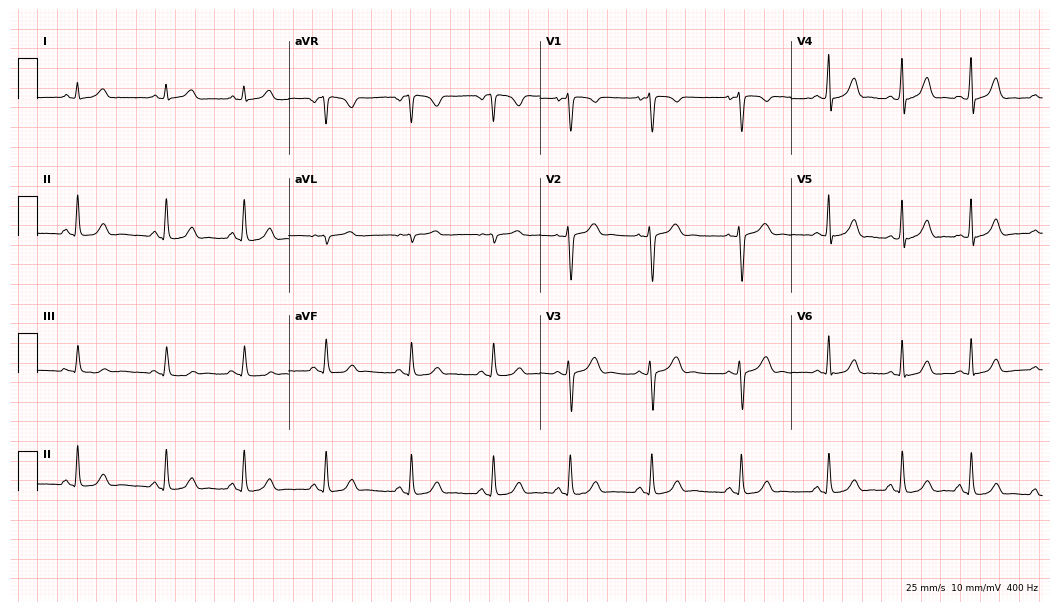
Electrocardiogram (10.2-second recording at 400 Hz), an 18-year-old female. Of the six screened findings (first-degree AV block, right bundle branch block, left bundle branch block, sinus bradycardia, atrial fibrillation, sinus tachycardia), none is recorded.